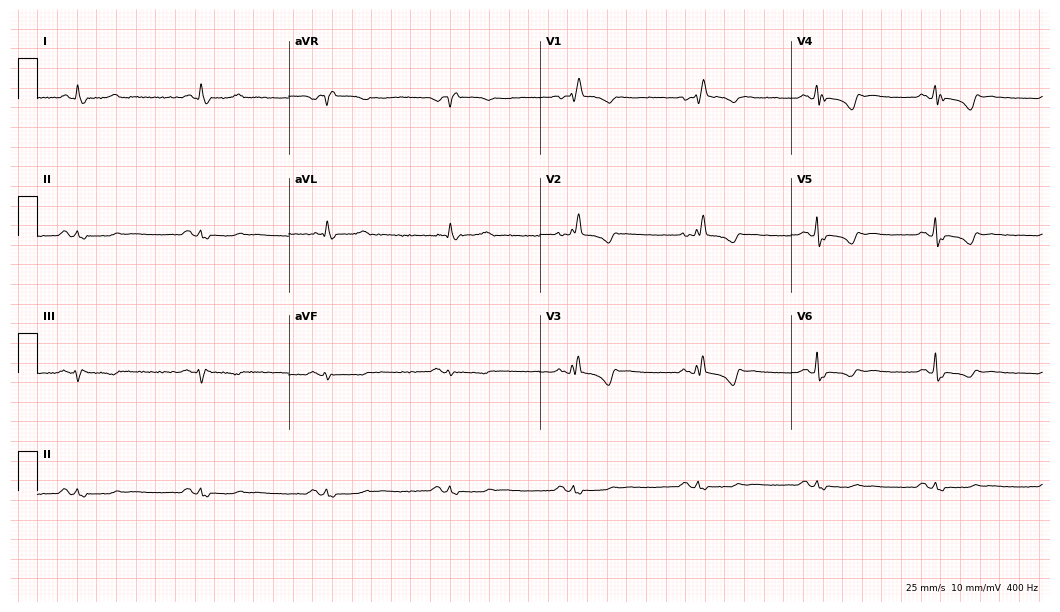
Standard 12-lead ECG recorded from a 57-year-old woman (10.2-second recording at 400 Hz). None of these six findings is recorded: first-degree AV block, right bundle branch block, left bundle branch block, sinus bradycardia, atrial fibrillation, sinus tachycardia. Findings outside these six are not listed.